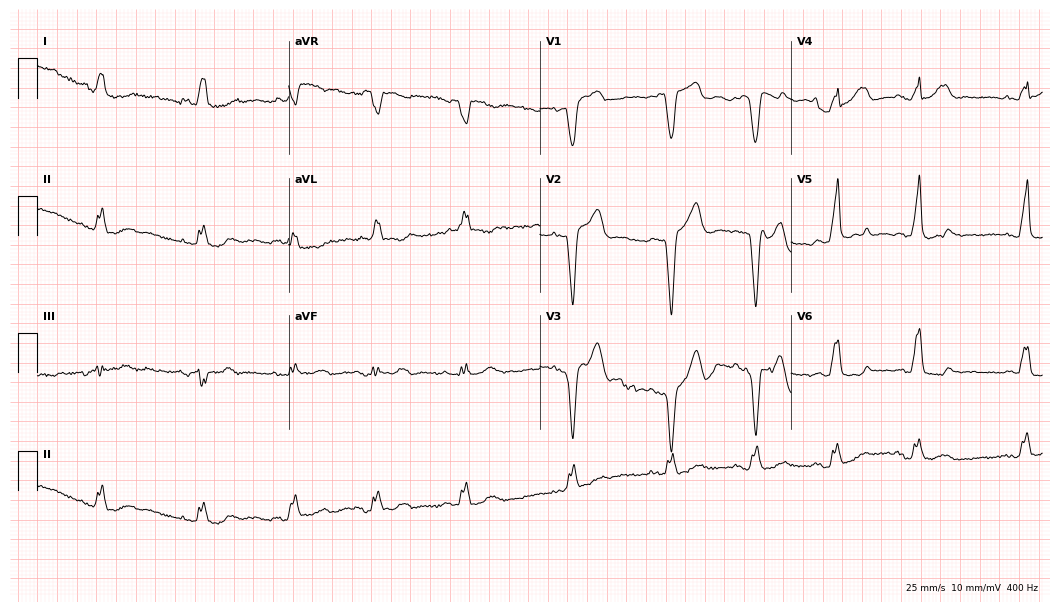
Electrocardiogram, an 82-year-old male. Interpretation includes left bundle branch block.